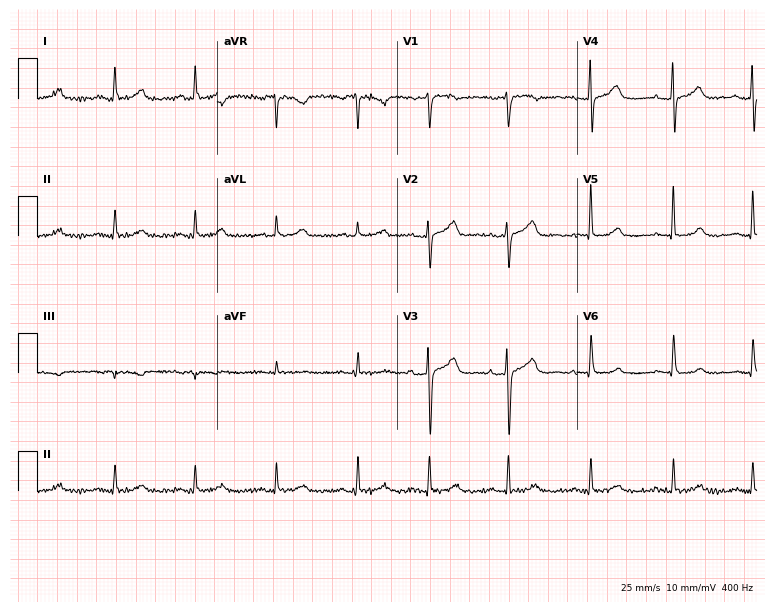
Resting 12-lead electrocardiogram (7.3-second recording at 400 Hz). Patient: a 68-year-old female. Read as a normal ECG.